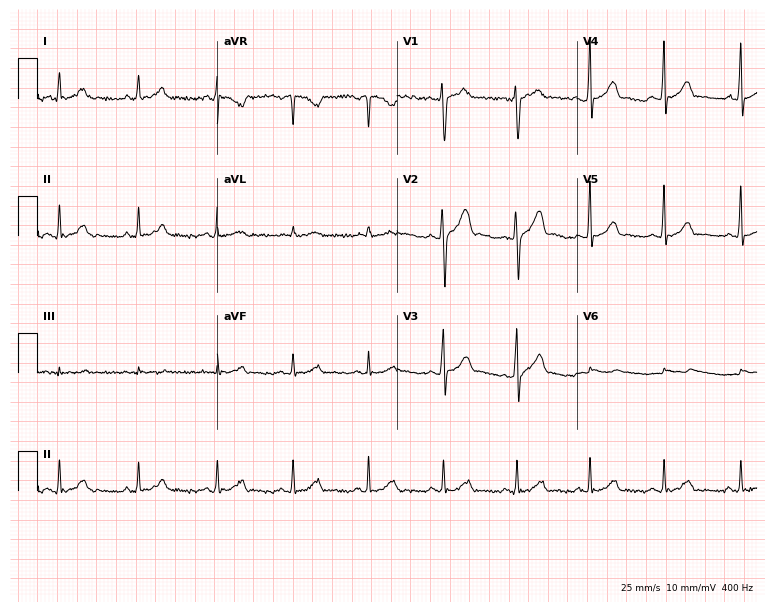
ECG — a 30-year-old male patient. Labelled as a normal ECG.